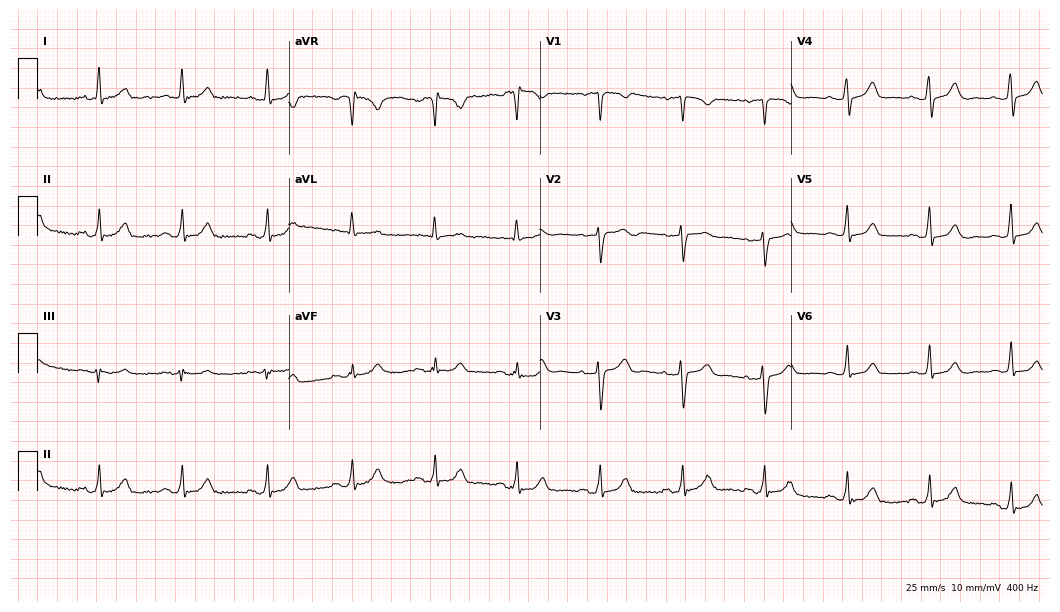
ECG — a 60-year-old female. Screened for six findings — first-degree AV block, right bundle branch block, left bundle branch block, sinus bradycardia, atrial fibrillation, sinus tachycardia — none is recorded.